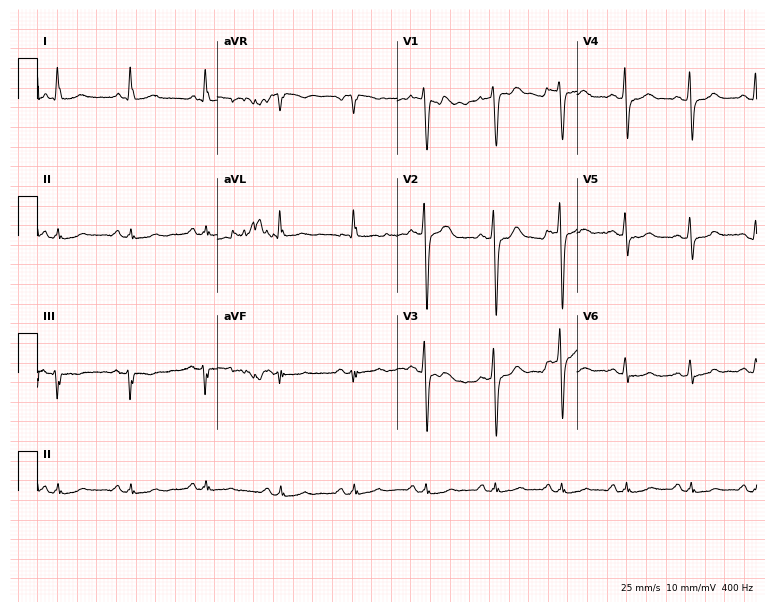
Resting 12-lead electrocardiogram (7.3-second recording at 400 Hz). Patient: a male, 41 years old. Read as a normal ECG.